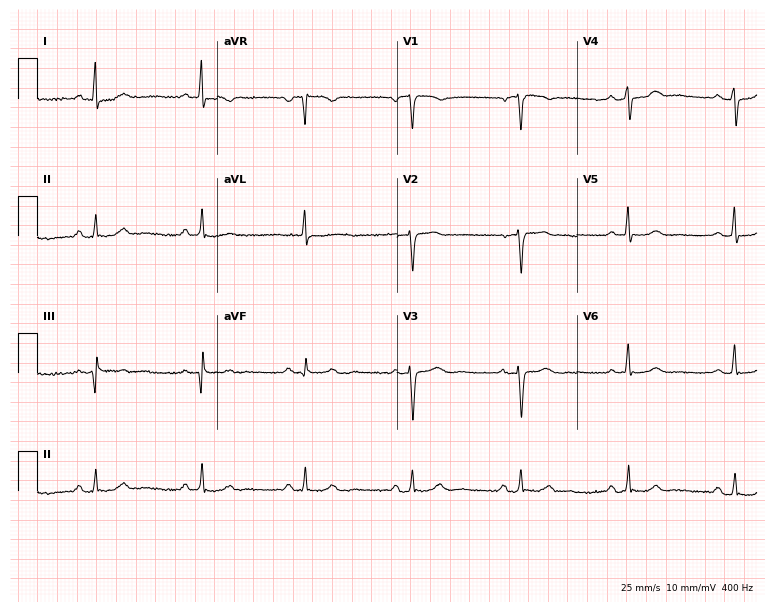
12-lead ECG from a female patient, 59 years old (7.3-second recording at 400 Hz). Recorded interpretation: within normal limits.